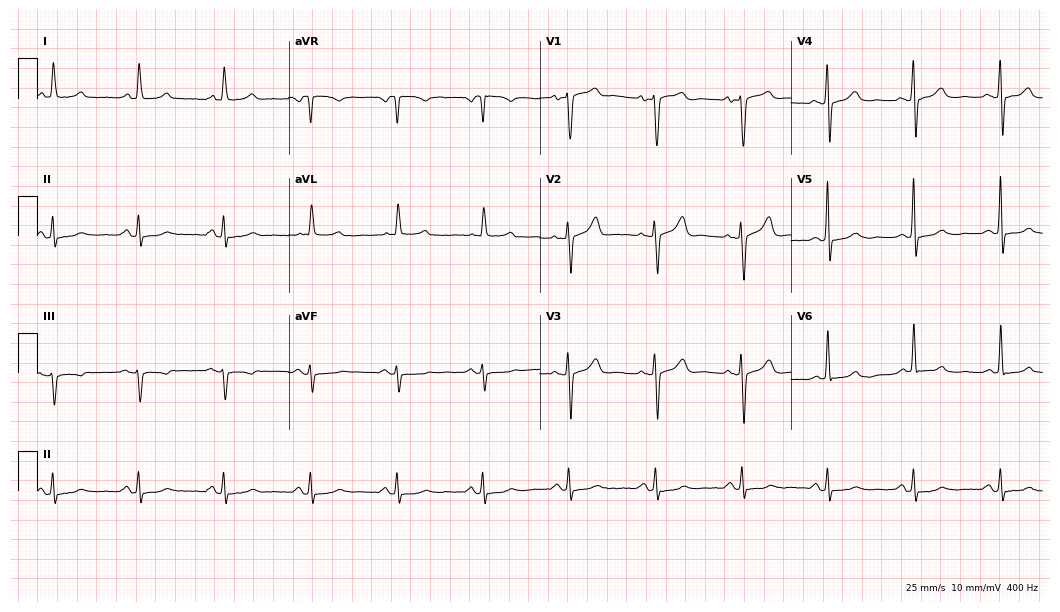
12-lead ECG (10.2-second recording at 400 Hz) from a female, 76 years old. Labelled as a normal ECG.